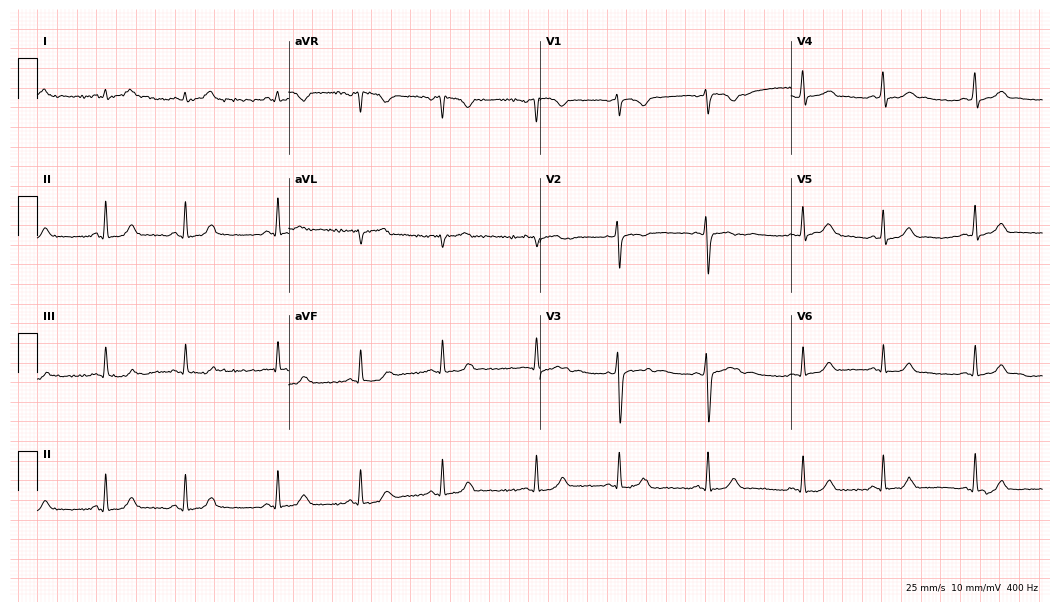
12-lead ECG from a 23-year-old female (10.2-second recording at 400 Hz). Recorded interpretation: within normal limits.